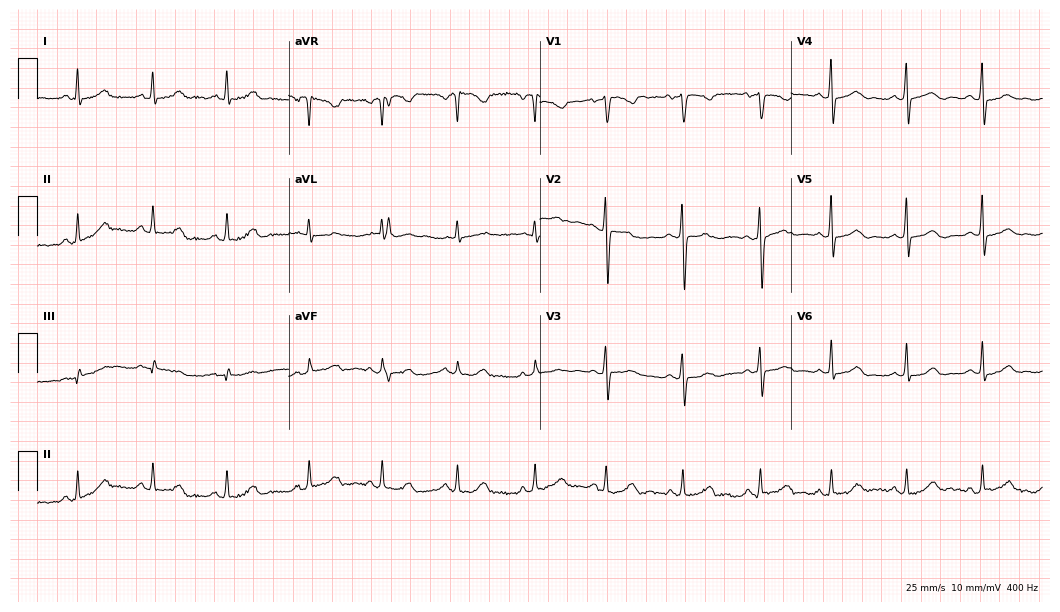
Resting 12-lead electrocardiogram. Patient: a woman, 34 years old. Read as a normal ECG.